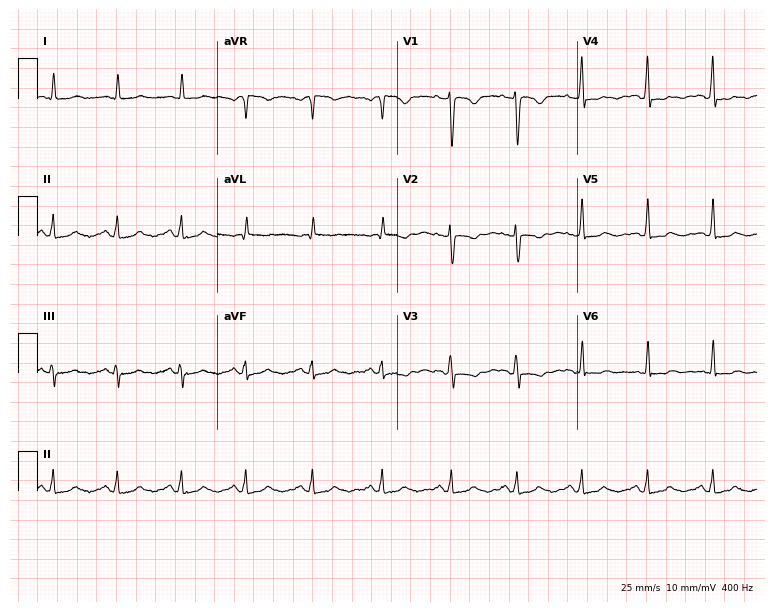
Electrocardiogram (7.3-second recording at 400 Hz), a 45-year-old female patient. Overall reading on record: normal ECG.